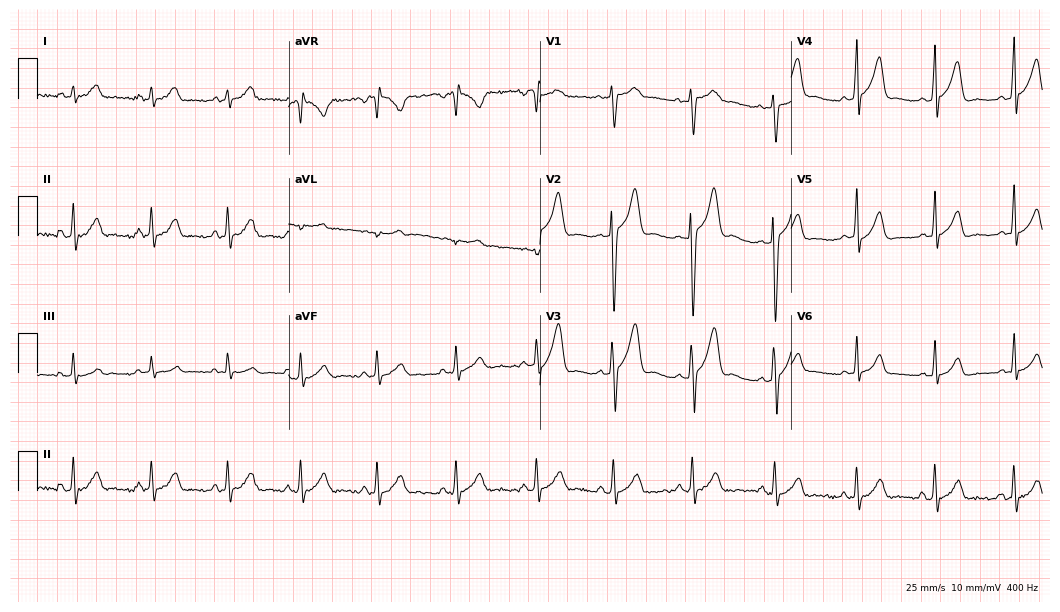
Standard 12-lead ECG recorded from a 24-year-old male patient (10.2-second recording at 400 Hz). None of these six findings is recorded: first-degree AV block, right bundle branch block (RBBB), left bundle branch block (LBBB), sinus bradycardia, atrial fibrillation (AF), sinus tachycardia. Only these six findings were labelled.